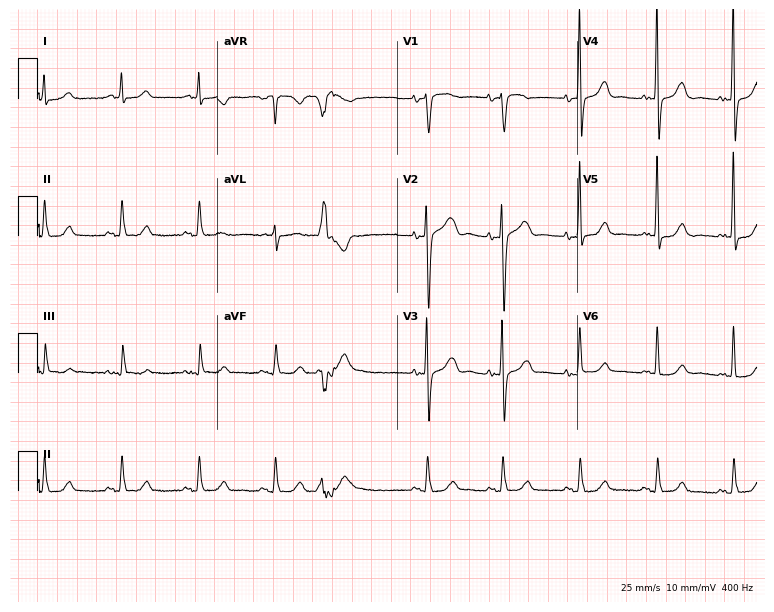
ECG — a female patient, 82 years old. Screened for six findings — first-degree AV block, right bundle branch block (RBBB), left bundle branch block (LBBB), sinus bradycardia, atrial fibrillation (AF), sinus tachycardia — none is recorded. Only these six findings were labelled.